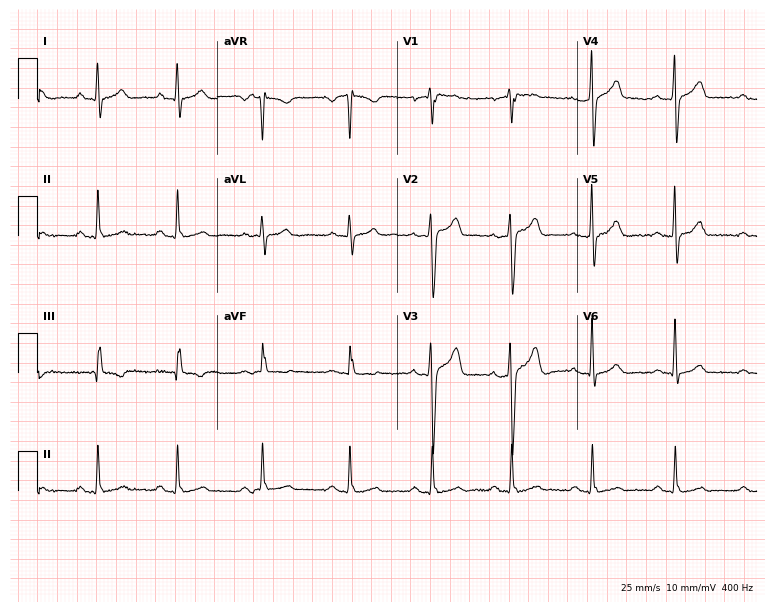
ECG — a 39-year-old male patient. Labelled as a normal ECG.